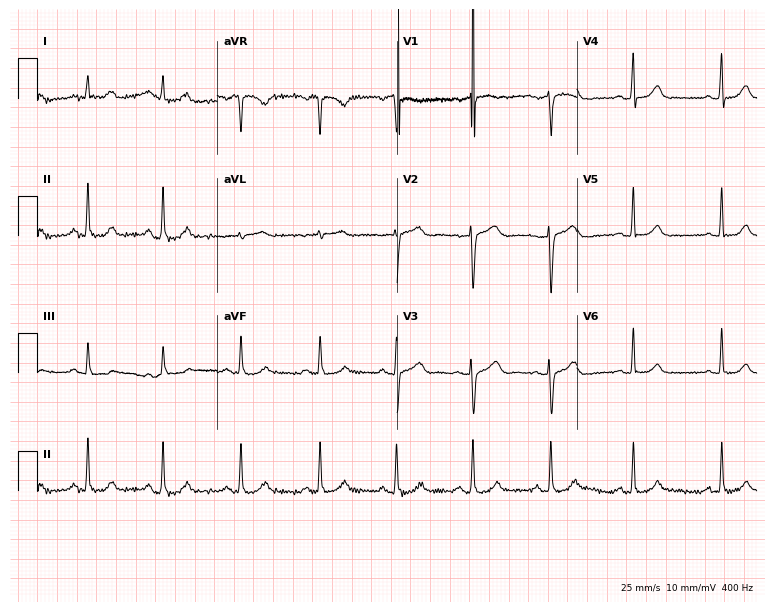
ECG — a female, 48 years old. Labelled as a normal ECG.